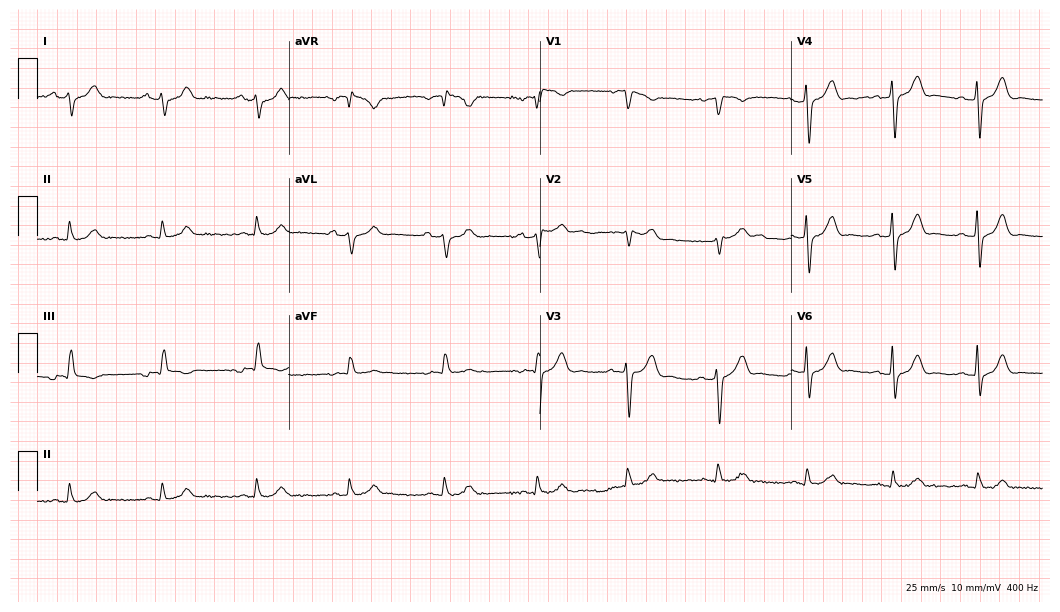
12-lead ECG from a 74-year-old man. Screened for six findings — first-degree AV block, right bundle branch block, left bundle branch block, sinus bradycardia, atrial fibrillation, sinus tachycardia — none is recorded.